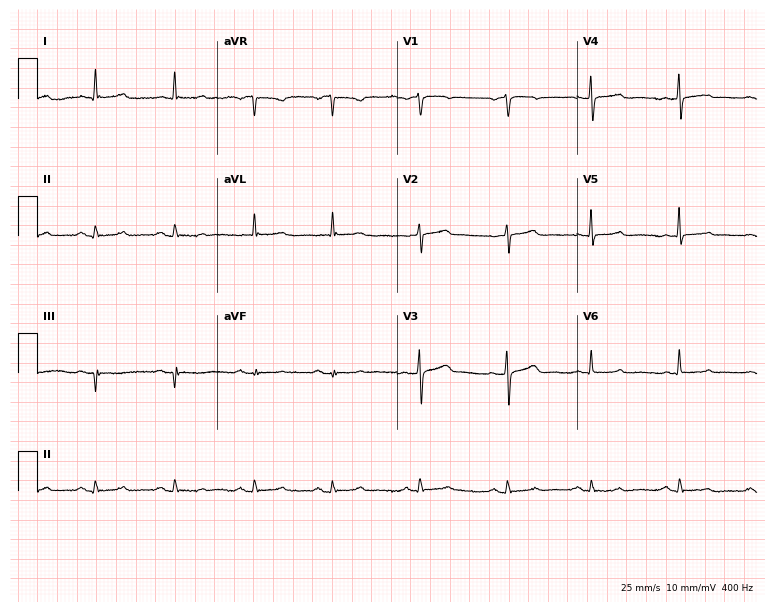
Resting 12-lead electrocardiogram (7.3-second recording at 400 Hz). Patient: a female, 65 years old. Read as a normal ECG.